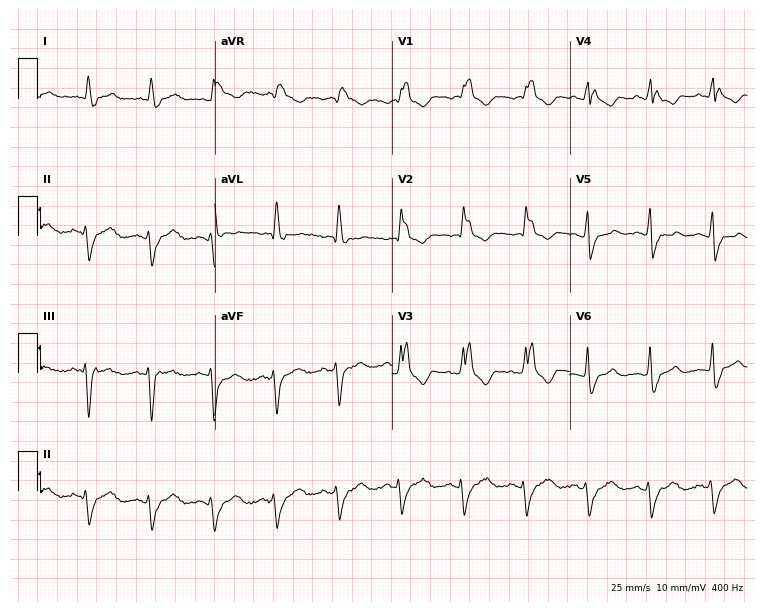
Resting 12-lead electrocardiogram. Patient: a male, 59 years old. The tracing shows right bundle branch block.